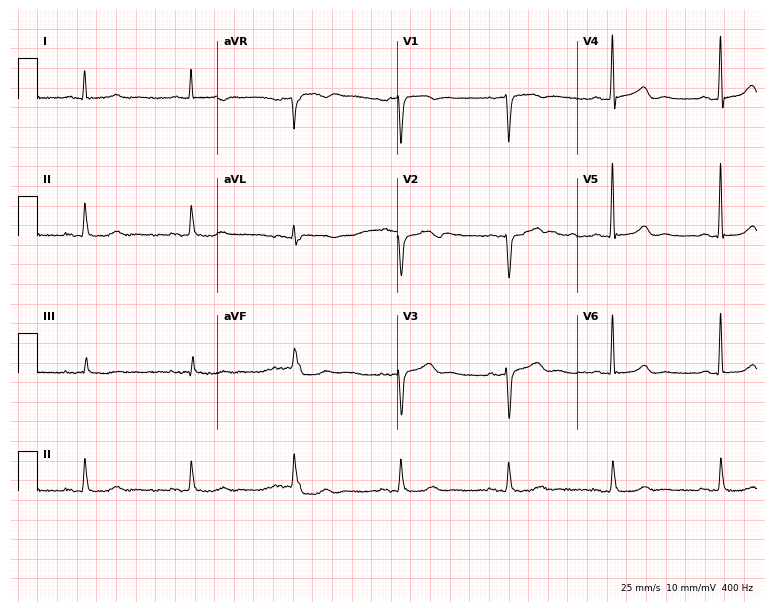
Standard 12-lead ECG recorded from a 64-year-old male (7.3-second recording at 400 Hz). Read as a normal ECG.